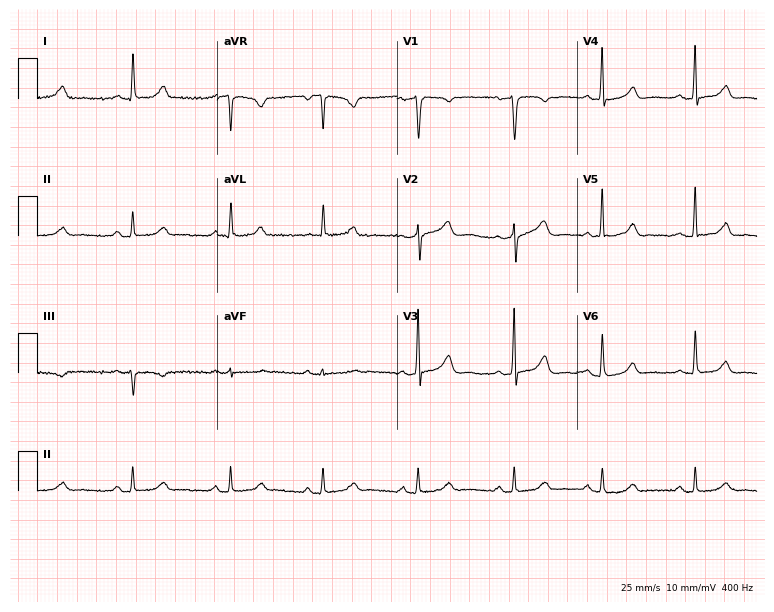
Standard 12-lead ECG recorded from a female patient, 47 years old. Read as a normal ECG.